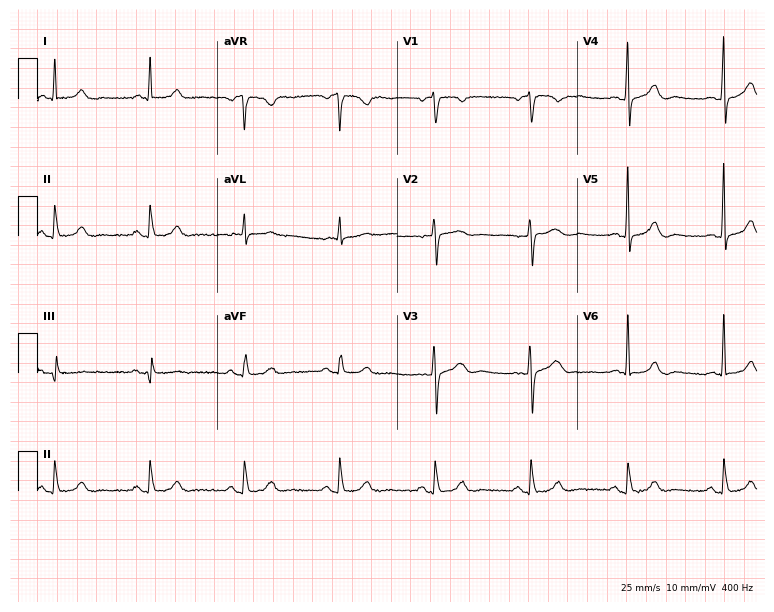
Resting 12-lead electrocardiogram. Patient: a 72-year-old woman. Read as a normal ECG.